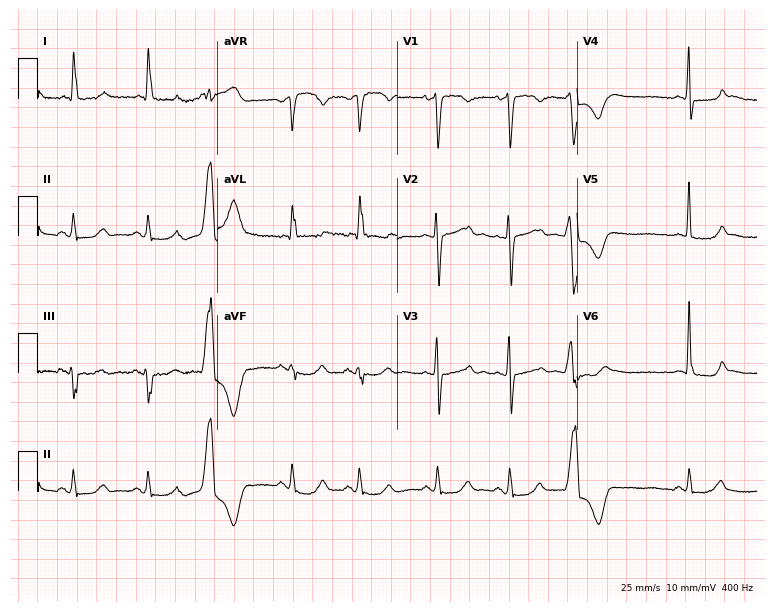
Resting 12-lead electrocardiogram. Patient: a woman, 58 years old. None of these six findings is recorded: first-degree AV block, right bundle branch block, left bundle branch block, sinus bradycardia, atrial fibrillation, sinus tachycardia. Other findings, if any, are not listed.